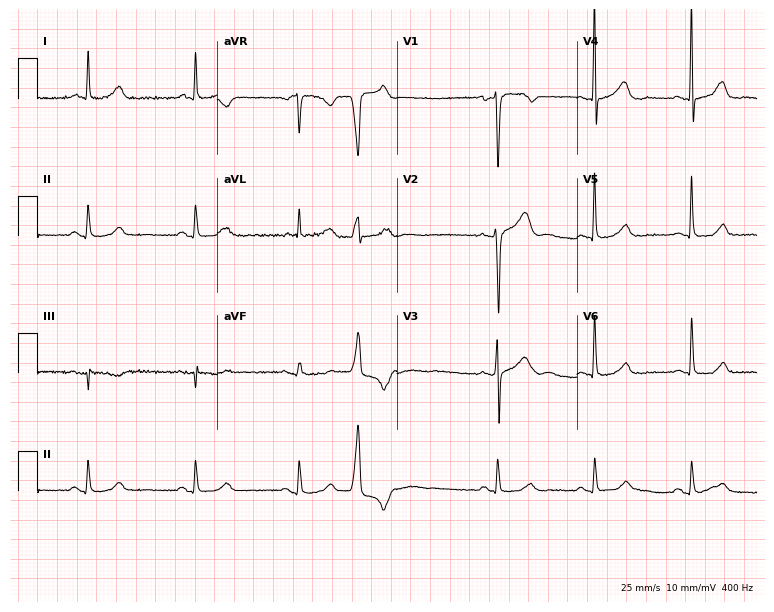
ECG (7.3-second recording at 400 Hz) — a male, 66 years old. Screened for six findings — first-degree AV block, right bundle branch block, left bundle branch block, sinus bradycardia, atrial fibrillation, sinus tachycardia — none is recorded. Other findings, if any, are not listed.